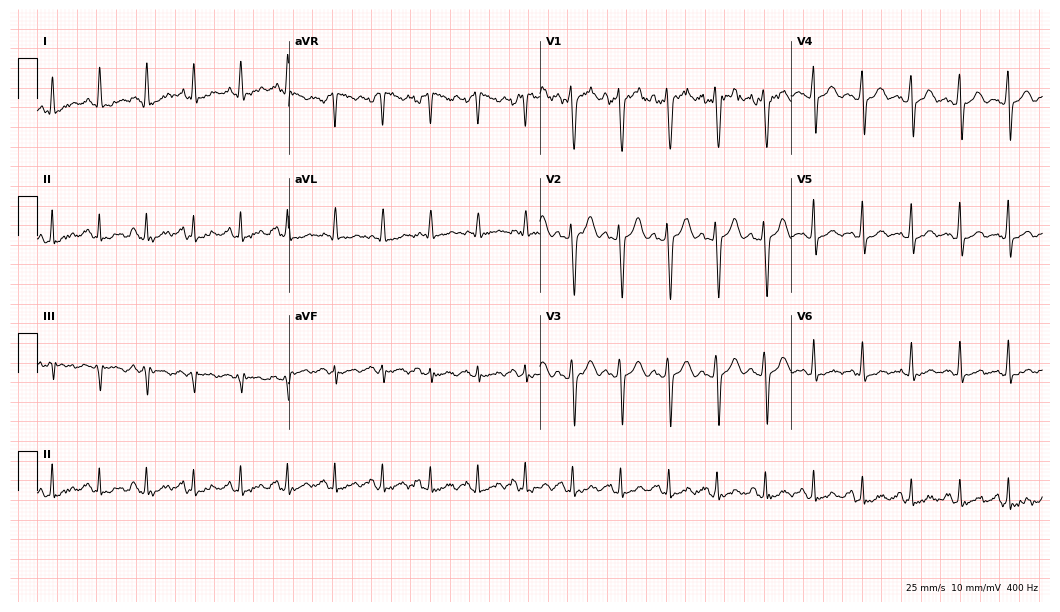
12-lead ECG (10.2-second recording at 400 Hz) from a 38-year-old male patient. Findings include sinus tachycardia (a sinus rate of 100 beats per minute or more).